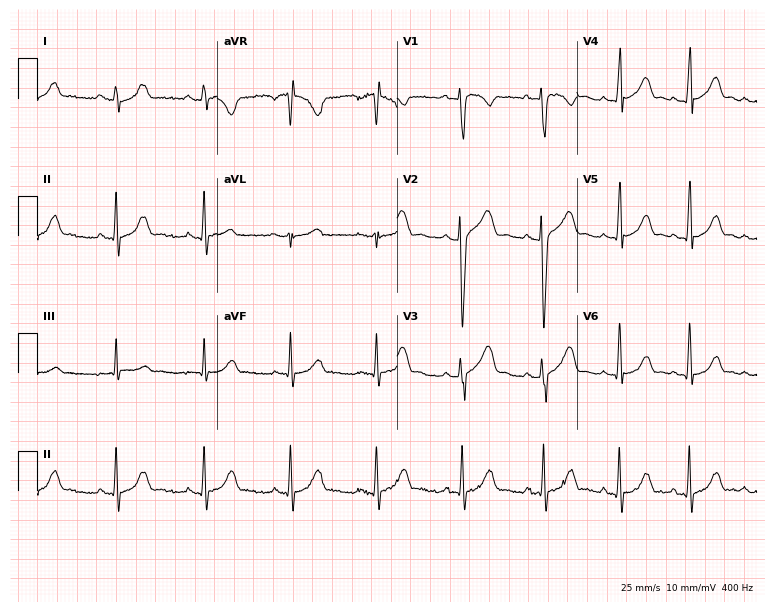
Resting 12-lead electrocardiogram. Patient: a 17-year-old female. Read as a normal ECG.